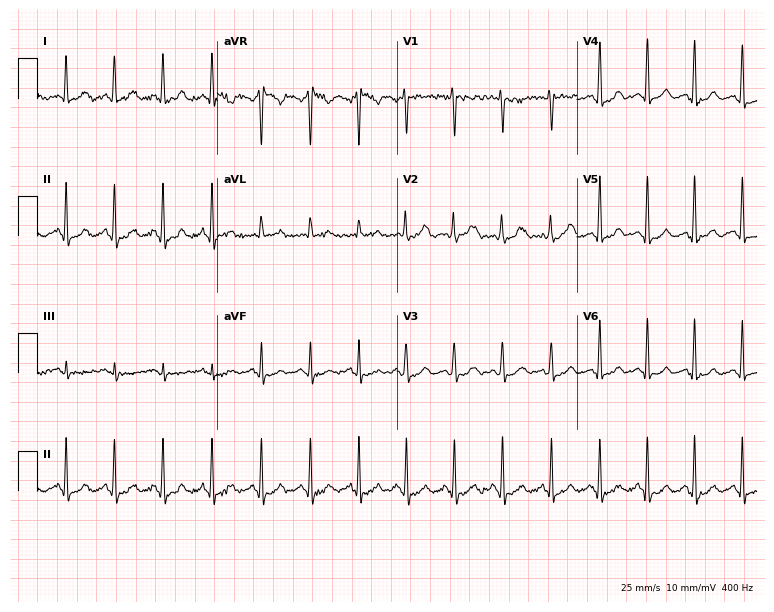
Electrocardiogram, a 34-year-old woman. Of the six screened findings (first-degree AV block, right bundle branch block (RBBB), left bundle branch block (LBBB), sinus bradycardia, atrial fibrillation (AF), sinus tachycardia), none is recorded.